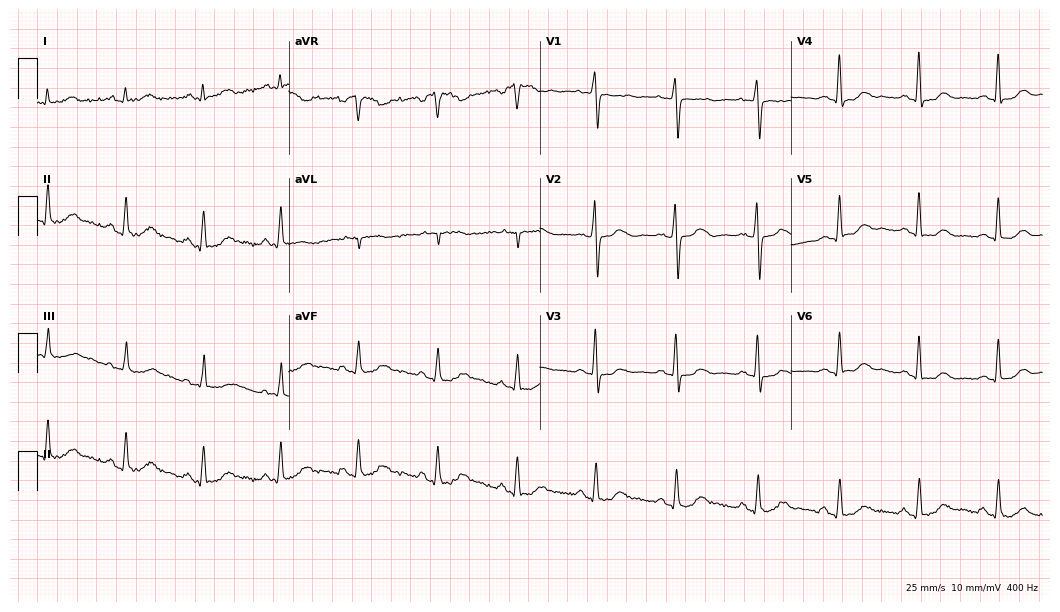
12-lead ECG from a woman, 69 years old. No first-degree AV block, right bundle branch block, left bundle branch block, sinus bradycardia, atrial fibrillation or sinus tachycardia recorded for this tracing.